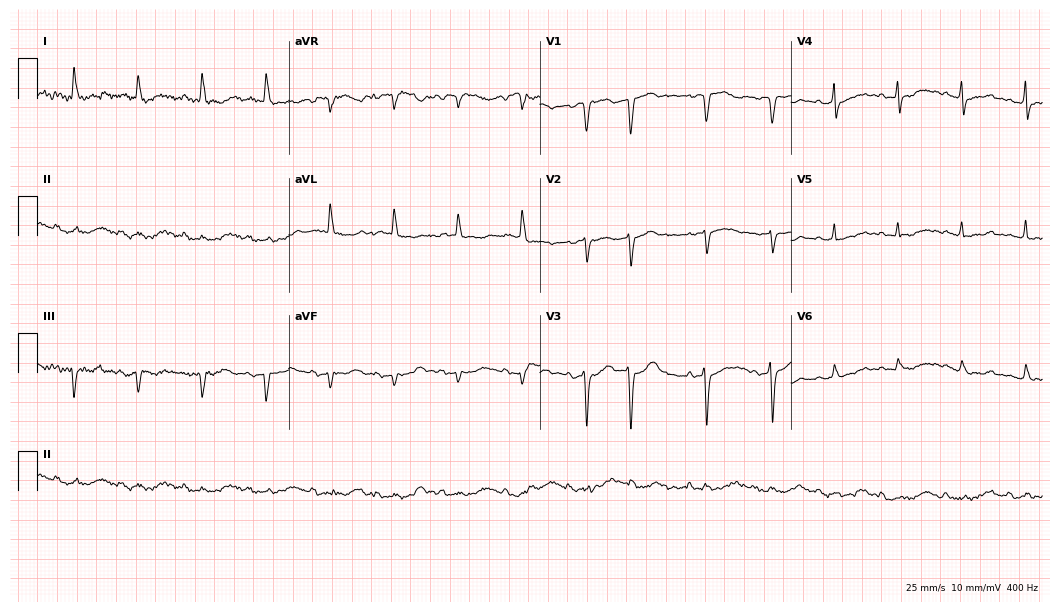
12-lead ECG from a woman, 66 years old. Screened for six findings — first-degree AV block, right bundle branch block, left bundle branch block, sinus bradycardia, atrial fibrillation, sinus tachycardia — none is recorded. Only these six findings were labelled.